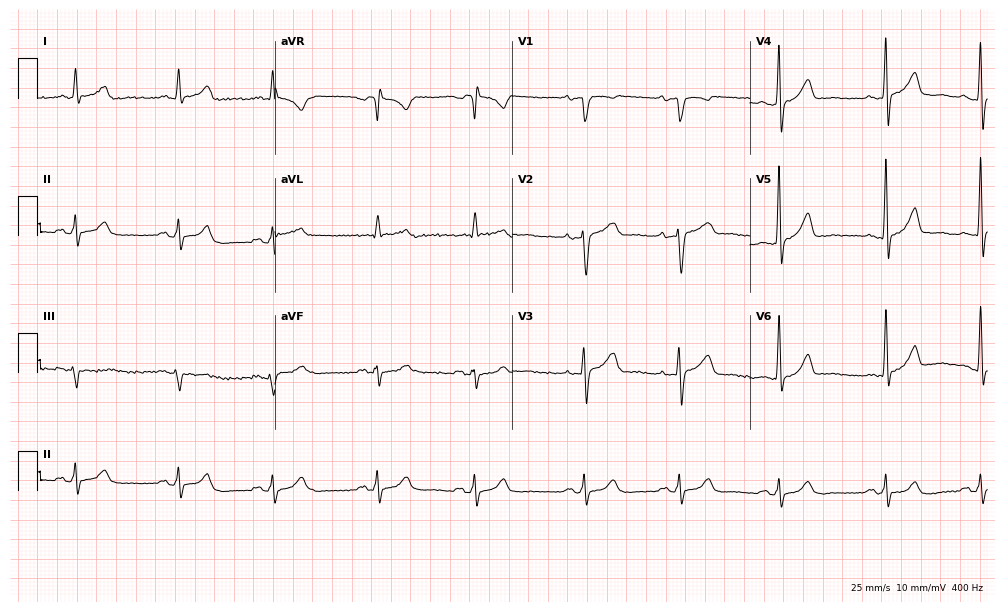
12-lead ECG from a 70-year-old male patient. Labelled as a normal ECG.